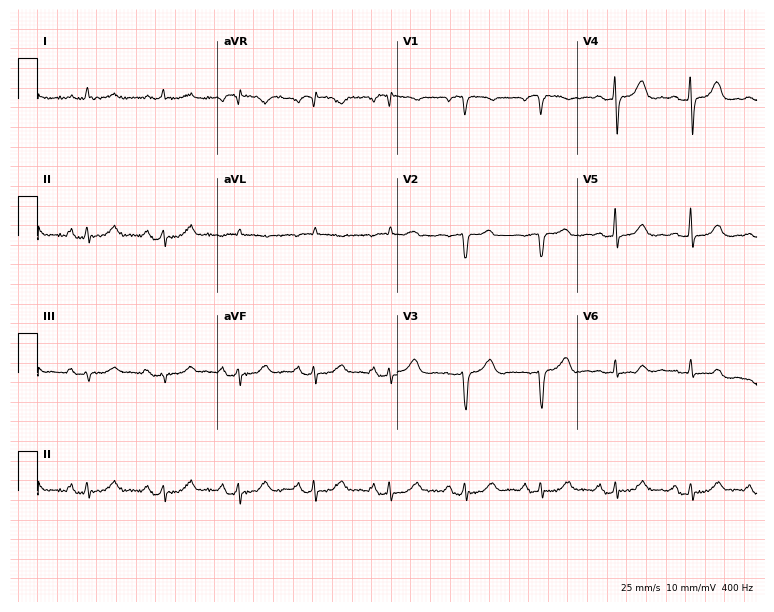
ECG (7.3-second recording at 400 Hz) — a female patient, 75 years old. Screened for six findings — first-degree AV block, right bundle branch block, left bundle branch block, sinus bradycardia, atrial fibrillation, sinus tachycardia — none is recorded.